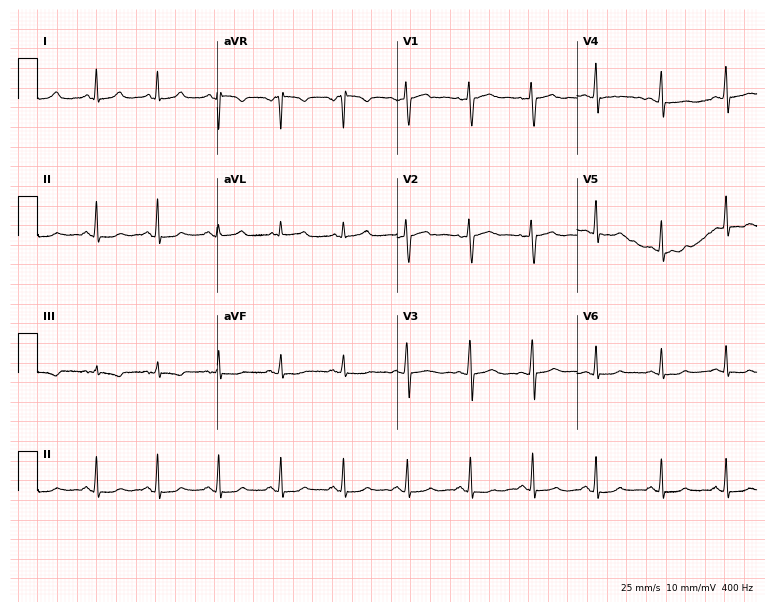
ECG — a woman, 41 years old. Labelled as a normal ECG.